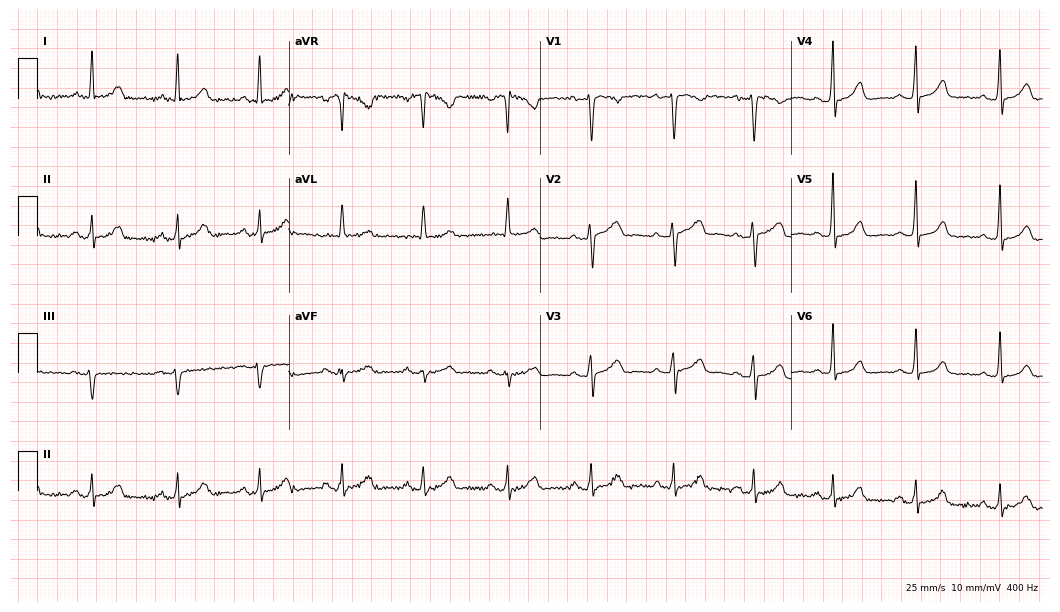
Electrocardiogram (10.2-second recording at 400 Hz), a woman, 49 years old. Overall reading on record: normal ECG.